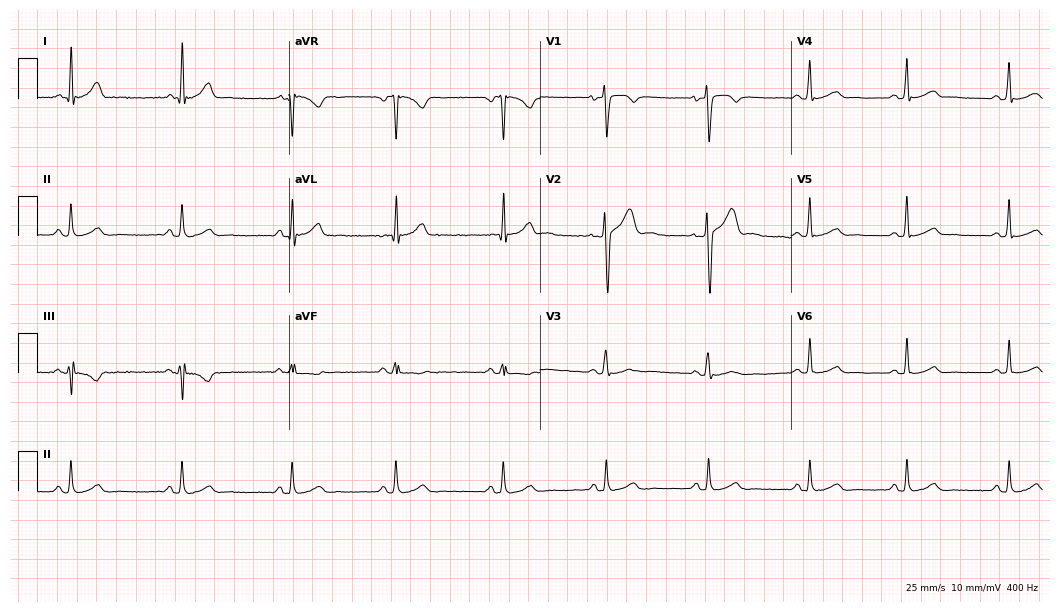
Resting 12-lead electrocardiogram. Patient: a 26-year-old male. Read as a normal ECG.